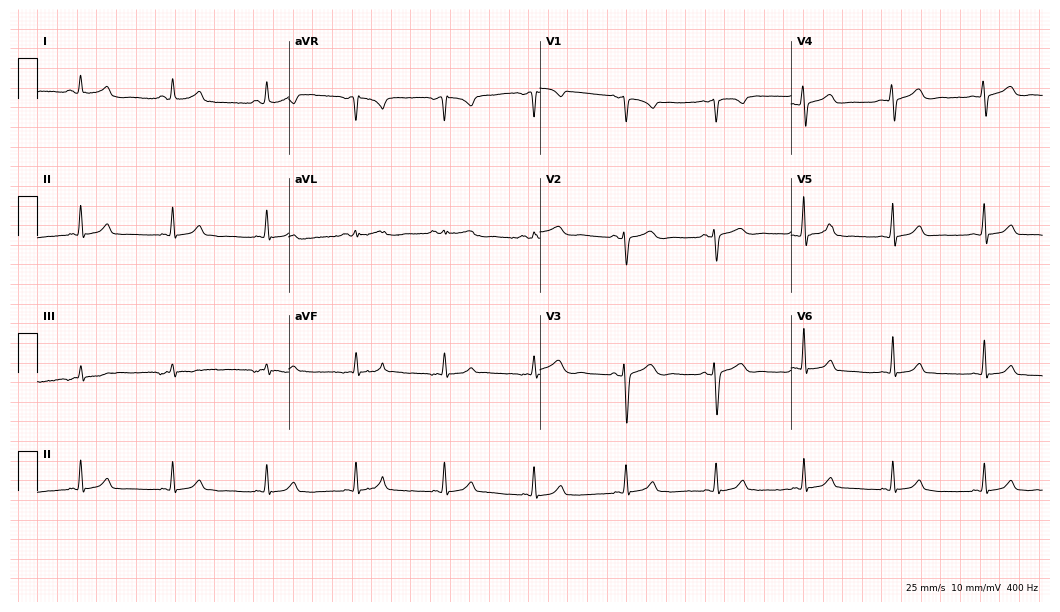
ECG — a 52-year-old female. Labelled as a normal ECG.